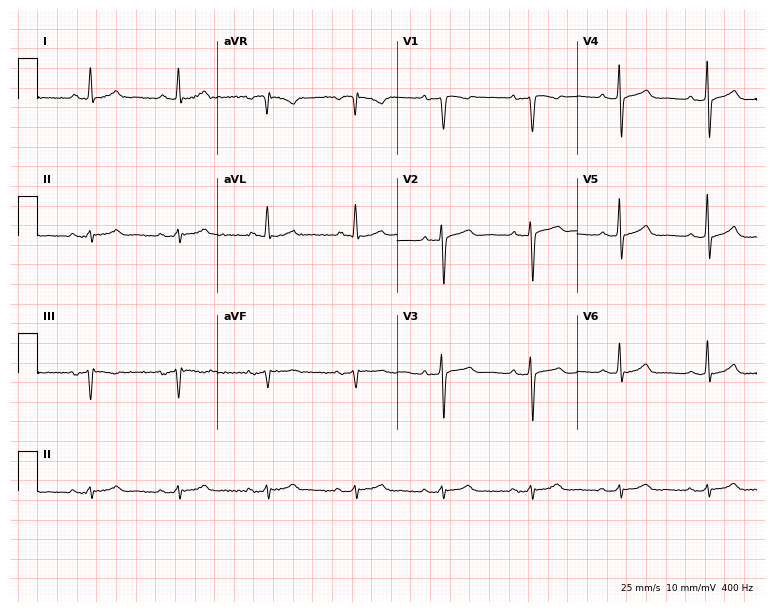
12-lead ECG from a man, 73 years old. Screened for six findings — first-degree AV block, right bundle branch block (RBBB), left bundle branch block (LBBB), sinus bradycardia, atrial fibrillation (AF), sinus tachycardia — none is recorded. Only these six findings were labelled.